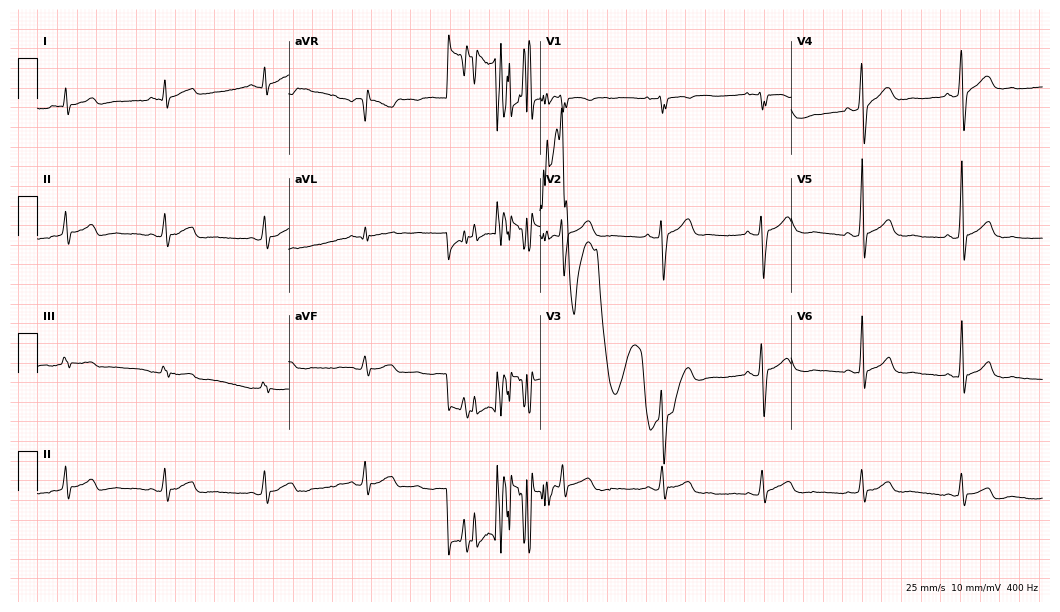
Standard 12-lead ECG recorded from a male patient, 40 years old (10.2-second recording at 400 Hz). None of these six findings is recorded: first-degree AV block, right bundle branch block, left bundle branch block, sinus bradycardia, atrial fibrillation, sinus tachycardia. Only these six findings were labelled.